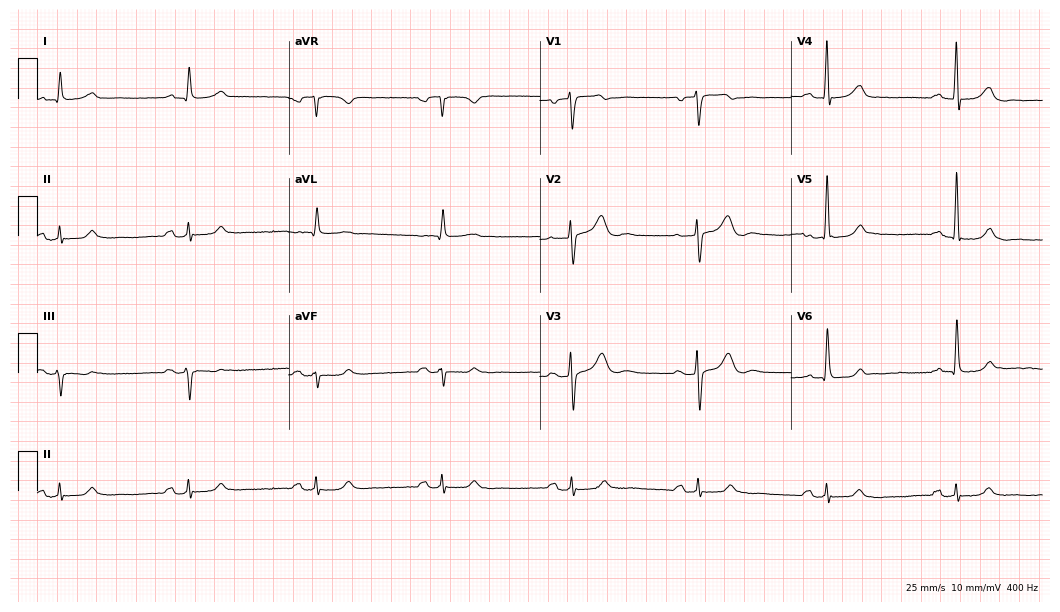
12-lead ECG from a man, 80 years old (10.2-second recording at 400 Hz). Shows sinus bradycardia (a sinus rate of 50 beats per minute or less).